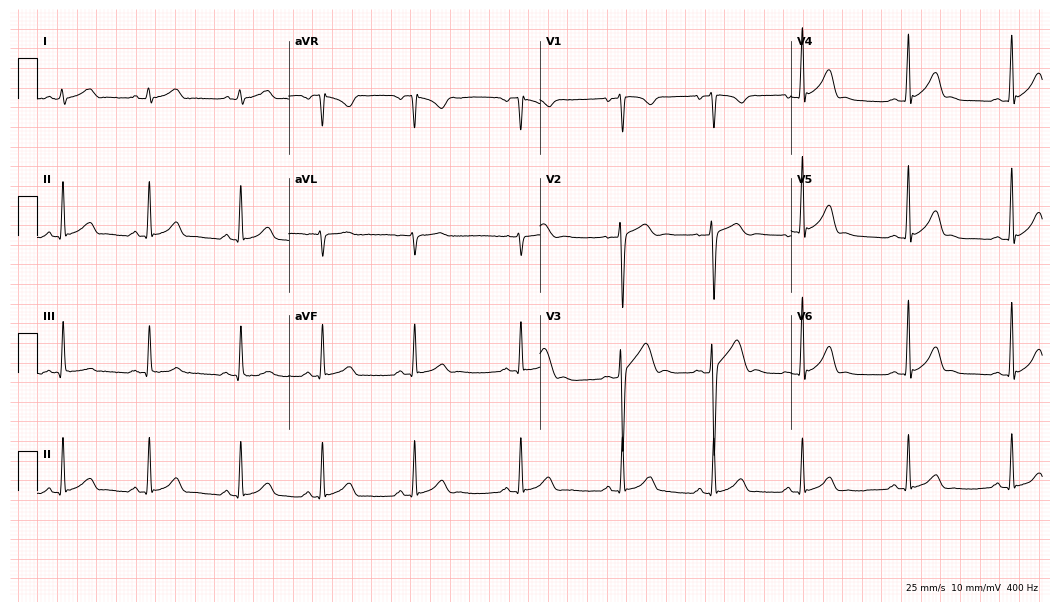
12-lead ECG (10.2-second recording at 400 Hz) from a man, 17 years old. Labelled as a normal ECG.